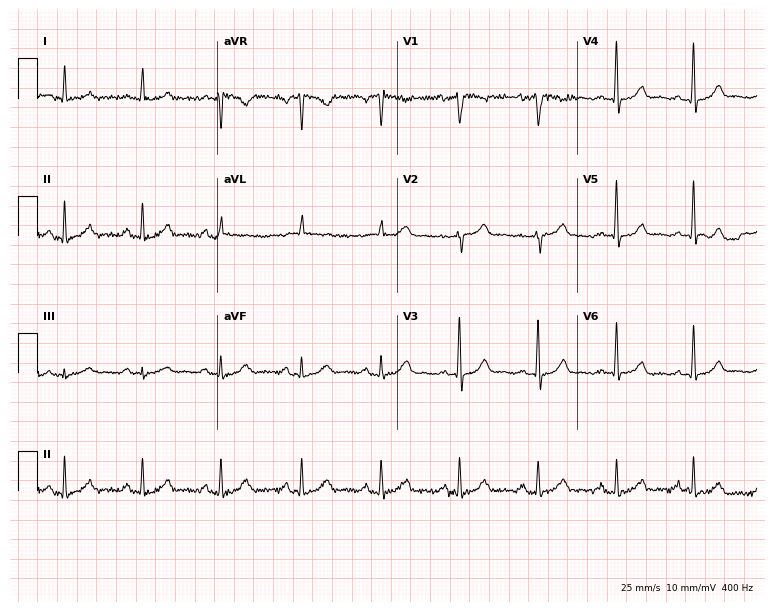
ECG — a 35-year-old female patient. Screened for six findings — first-degree AV block, right bundle branch block, left bundle branch block, sinus bradycardia, atrial fibrillation, sinus tachycardia — none is recorded. Findings outside these six are not listed.